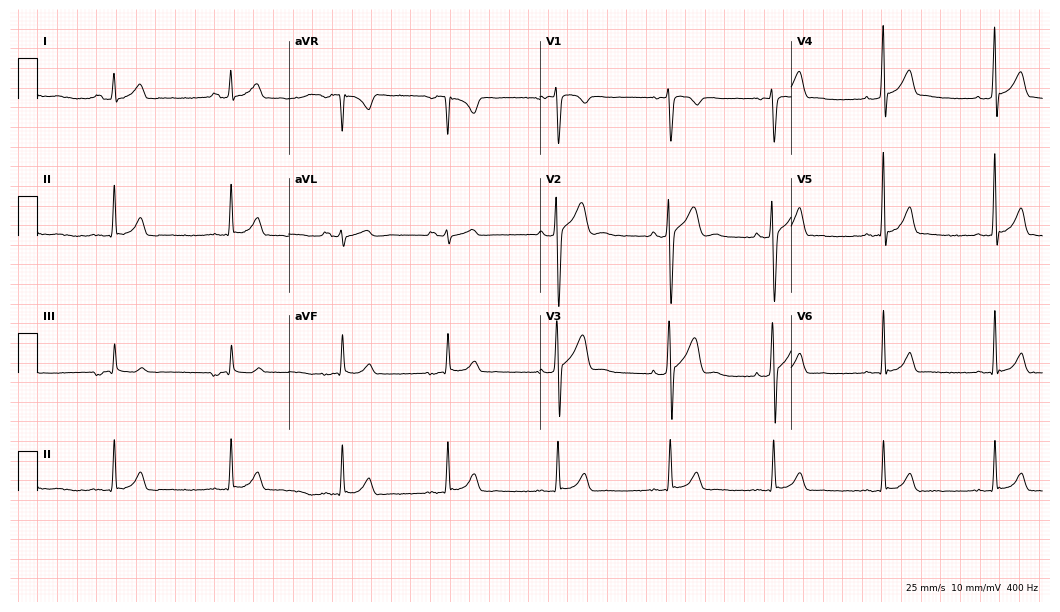
12-lead ECG from a 24-year-old male (10.2-second recording at 400 Hz). Recorded interpretation: within normal limits.